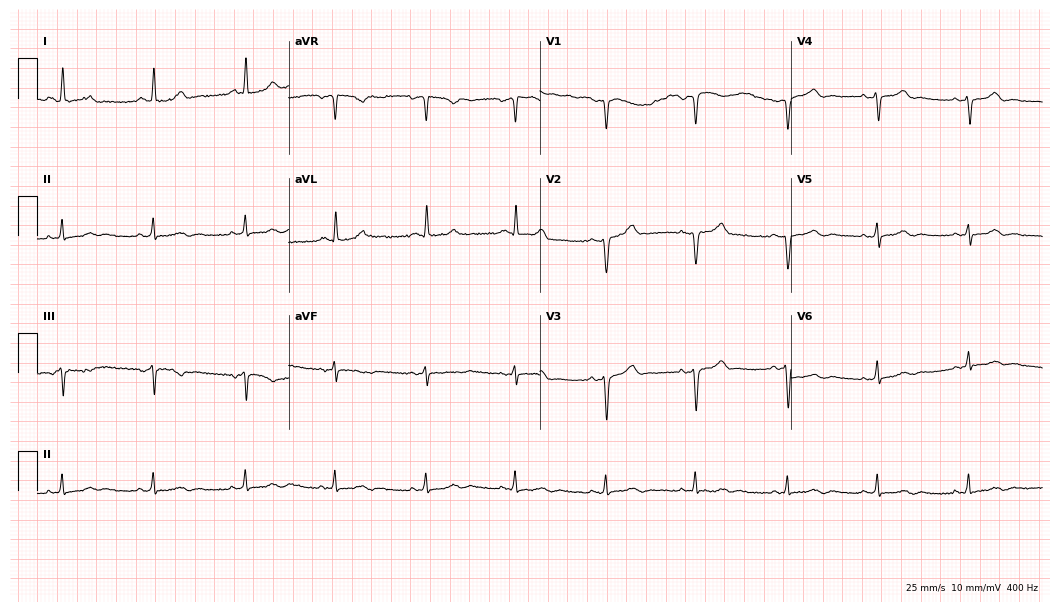
Electrocardiogram, a 49-year-old female patient. Of the six screened findings (first-degree AV block, right bundle branch block, left bundle branch block, sinus bradycardia, atrial fibrillation, sinus tachycardia), none is recorded.